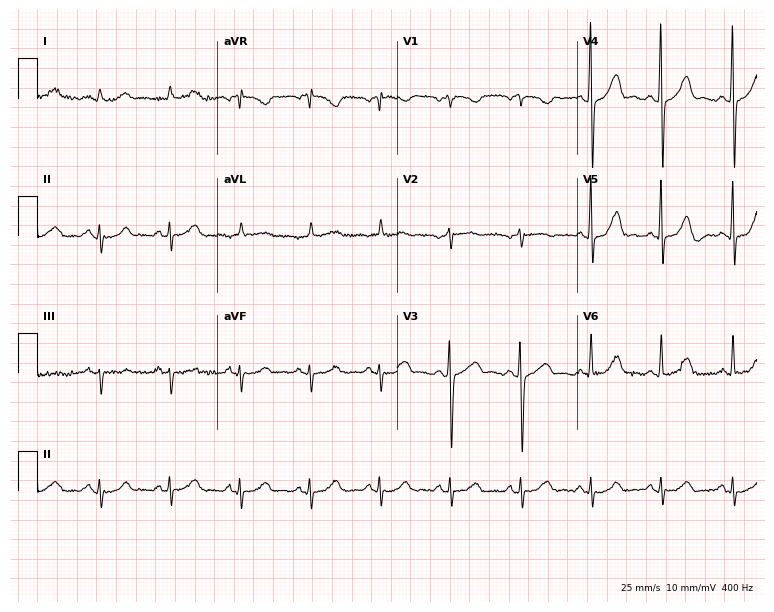
Standard 12-lead ECG recorded from a 62-year-old male. None of these six findings is recorded: first-degree AV block, right bundle branch block, left bundle branch block, sinus bradycardia, atrial fibrillation, sinus tachycardia. Other findings, if any, are not listed.